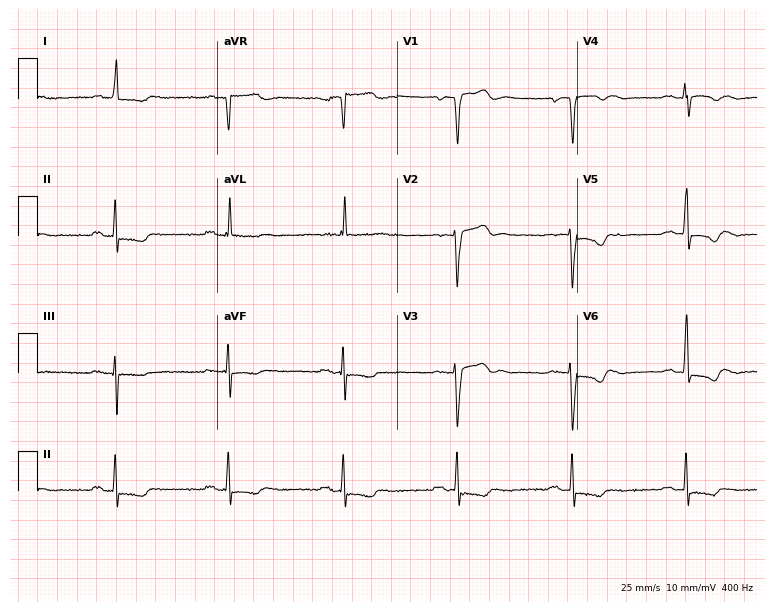
12-lead ECG (7.3-second recording at 400 Hz) from a 74-year-old man. Screened for six findings — first-degree AV block, right bundle branch block, left bundle branch block, sinus bradycardia, atrial fibrillation, sinus tachycardia — none is recorded. Only these six findings were labelled.